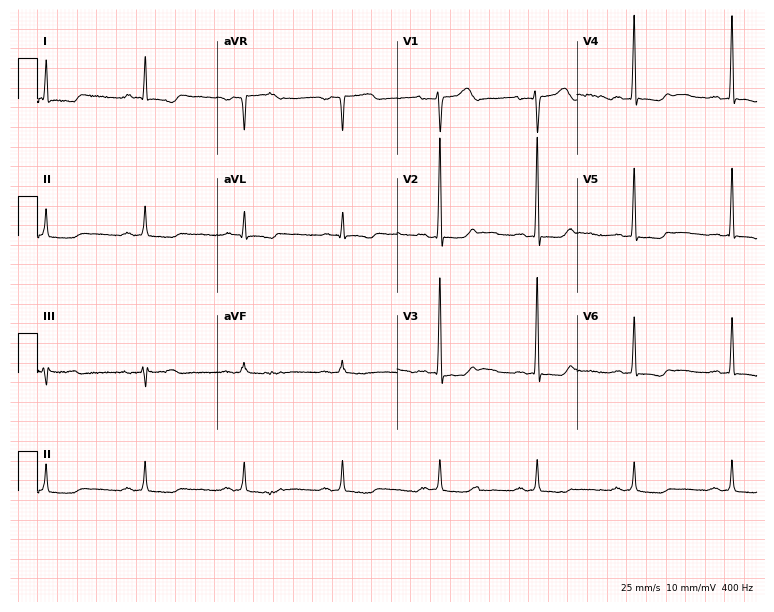
ECG — a 66-year-old man. Screened for six findings — first-degree AV block, right bundle branch block, left bundle branch block, sinus bradycardia, atrial fibrillation, sinus tachycardia — none is recorded.